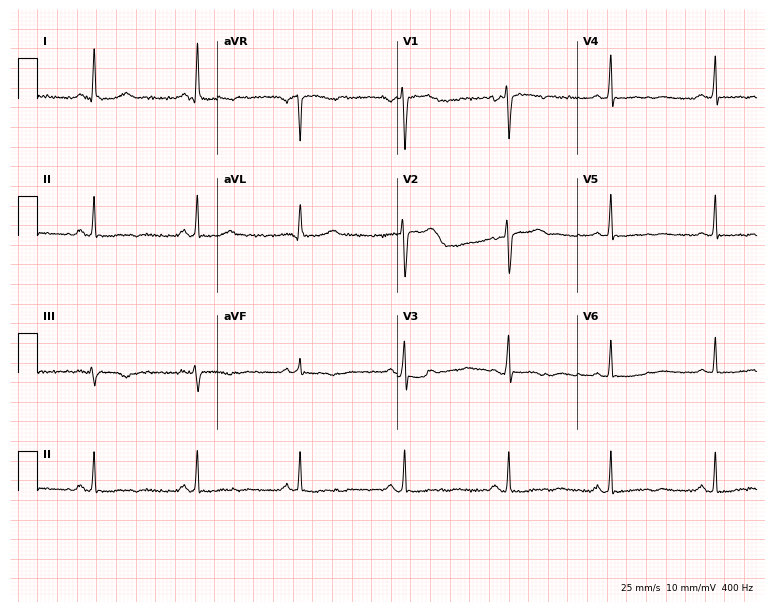
Resting 12-lead electrocardiogram (7.3-second recording at 400 Hz). Patient: a female, 55 years old. Read as a normal ECG.